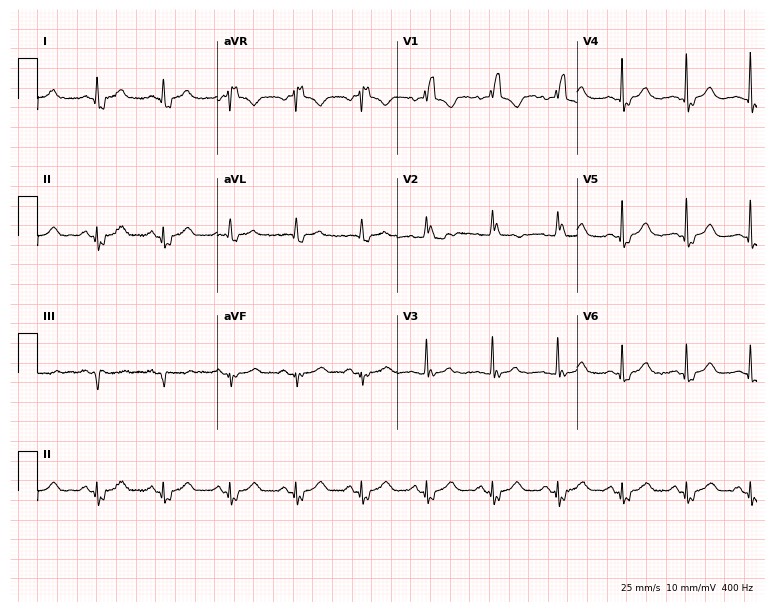
12-lead ECG (7.3-second recording at 400 Hz) from a female, 72 years old. Findings include right bundle branch block.